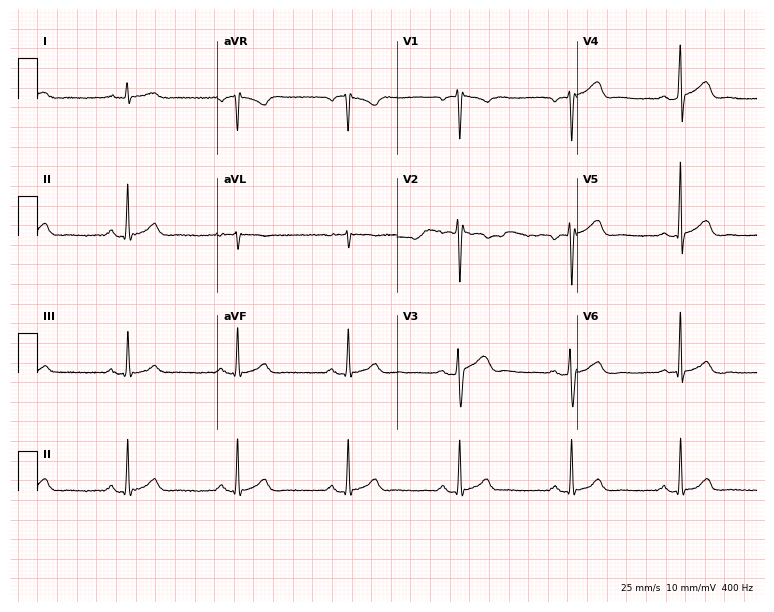
ECG — a male, 48 years old. Labelled as a normal ECG.